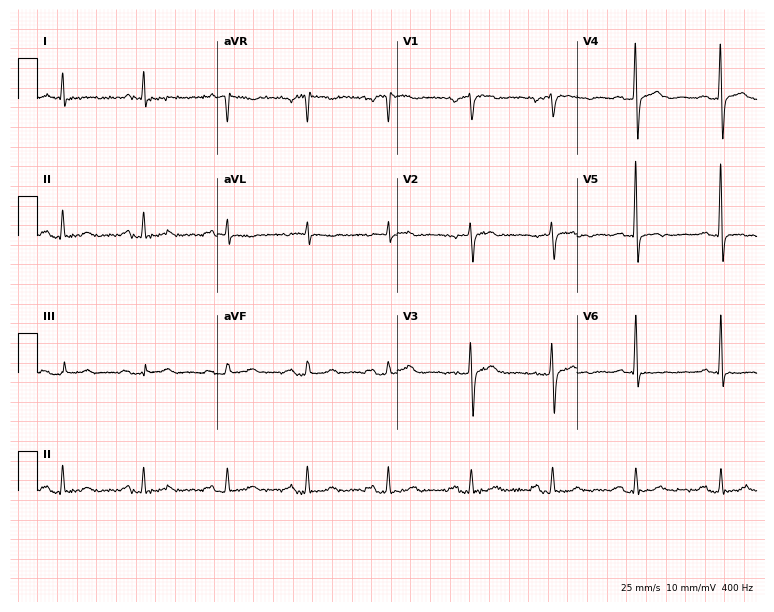
12-lead ECG (7.3-second recording at 400 Hz) from a male, 67 years old. Screened for six findings — first-degree AV block, right bundle branch block, left bundle branch block, sinus bradycardia, atrial fibrillation, sinus tachycardia — none is recorded.